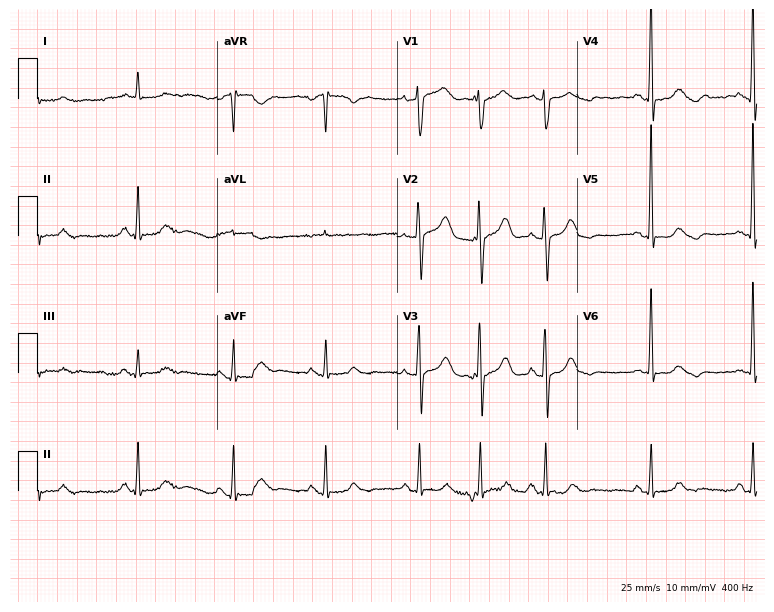
12-lead ECG from a 79-year-old female patient. No first-degree AV block, right bundle branch block (RBBB), left bundle branch block (LBBB), sinus bradycardia, atrial fibrillation (AF) or sinus tachycardia recorded for this tracing. Only these six findings were labelled.